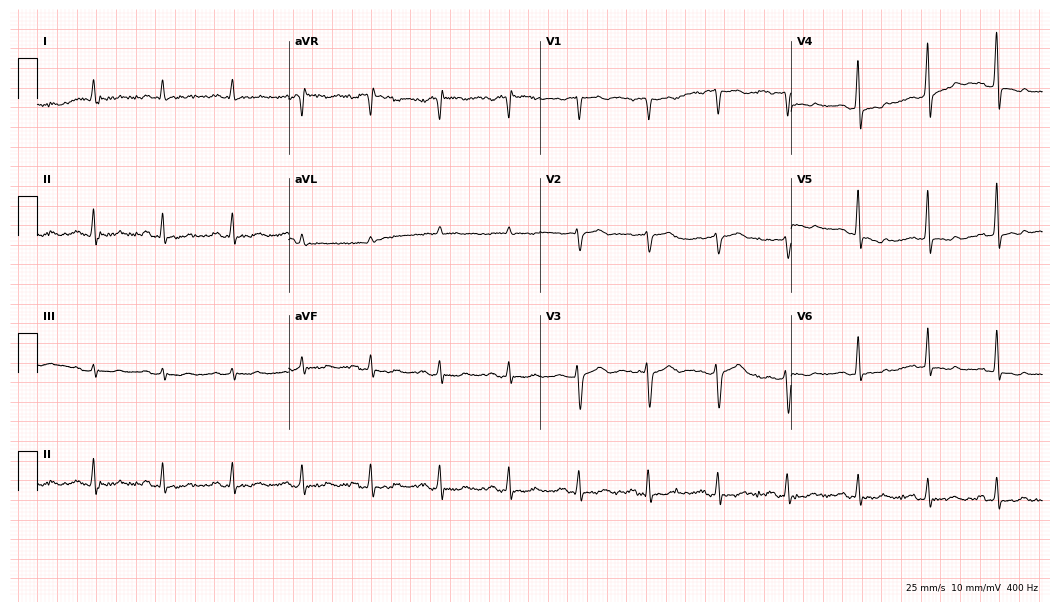
Resting 12-lead electrocardiogram. Patient: a 51-year-old man. None of these six findings is recorded: first-degree AV block, right bundle branch block, left bundle branch block, sinus bradycardia, atrial fibrillation, sinus tachycardia.